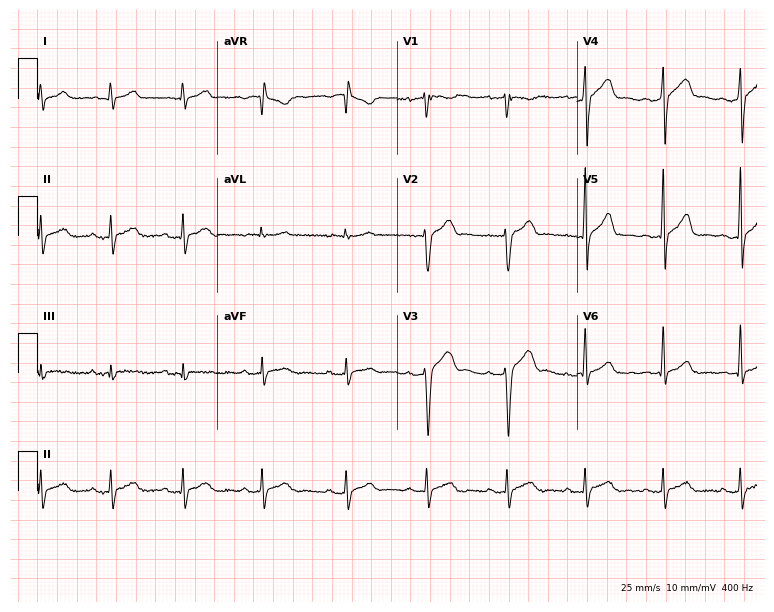
ECG (7.3-second recording at 400 Hz) — a male, 29 years old. Labelled as a normal ECG.